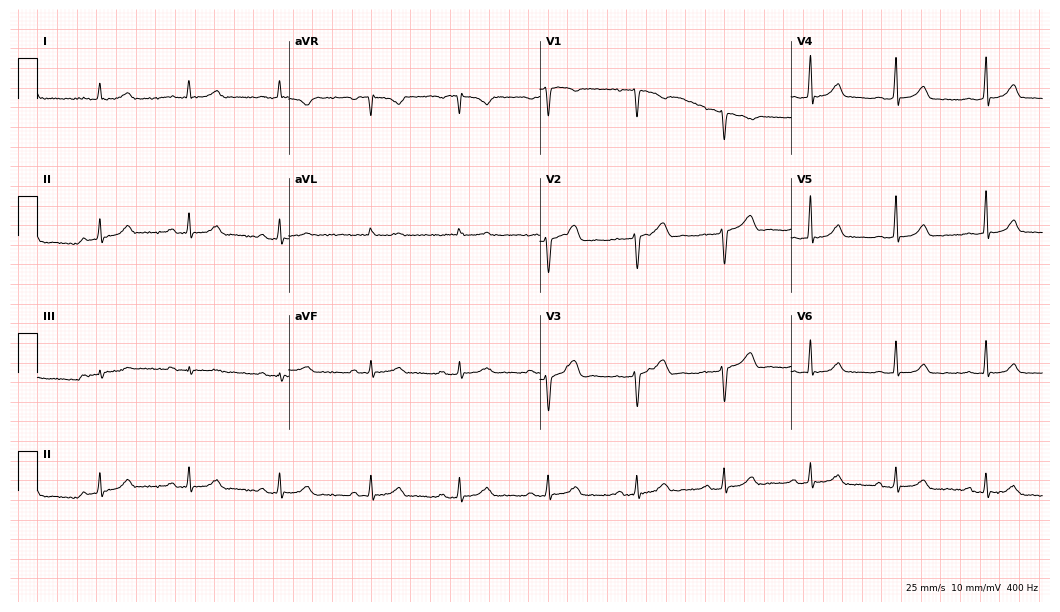
ECG (10.2-second recording at 400 Hz) — a female, 41 years old. Screened for six findings — first-degree AV block, right bundle branch block, left bundle branch block, sinus bradycardia, atrial fibrillation, sinus tachycardia — none is recorded.